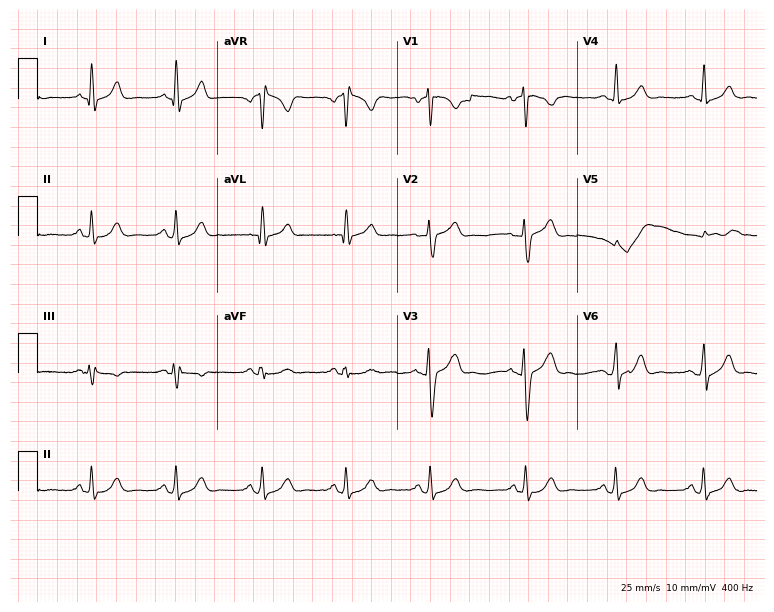
12-lead ECG from a 34-year-old male patient. No first-degree AV block, right bundle branch block, left bundle branch block, sinus bradycardia, atrial fibrillation or sinus tachycardia recorded for this tracing. Only these six findings were labelled.